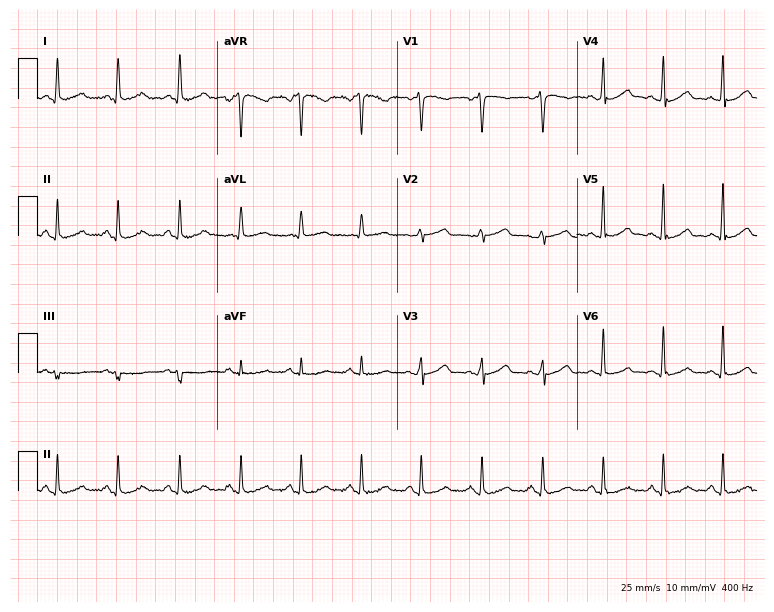
Resting 12-lead electrocardiogram. Patient: a 42-year-old female. None of these six findings is recorded: first-degree AV block, right bundle branch block, left bundle branch block, sinus bradycardia, atrial fibrillation, sinus tachycardia. Findings outside these six are not listed.